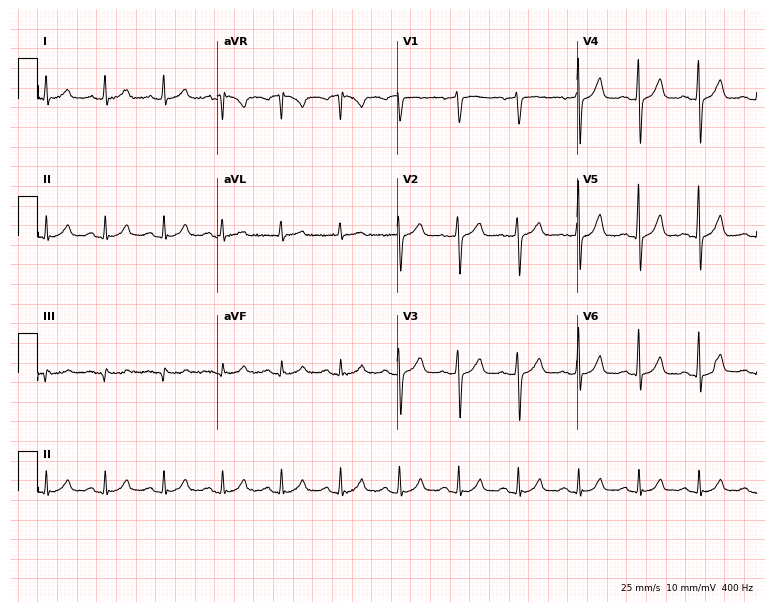
12-lead ECG from a female patient, 65 years old (7.3-second recording at 400 Hz). Recorded interpretation: within normal limits.